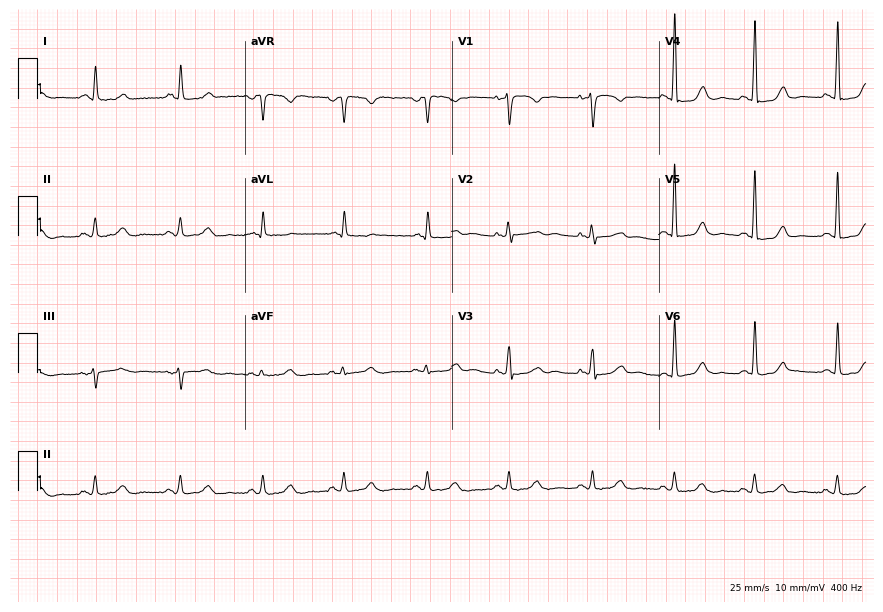
12-lead ECG from a 70-year-old female. Labelled as a normal ECG.